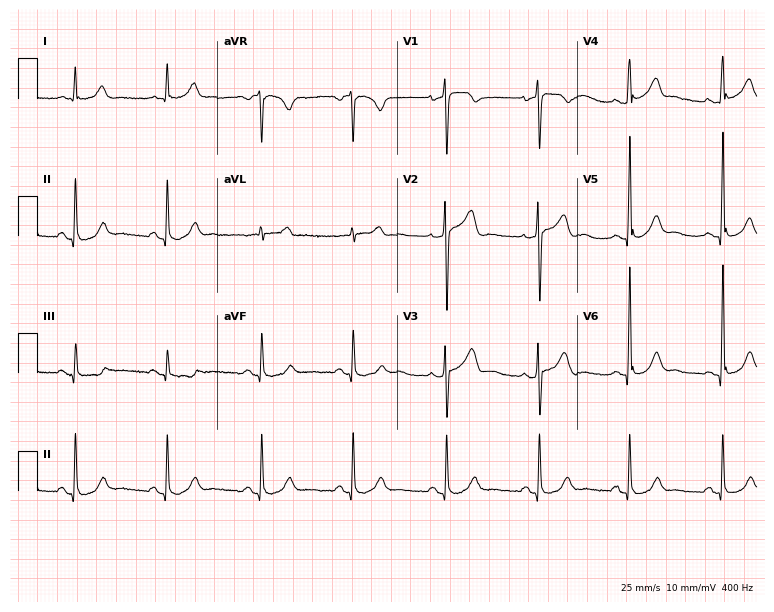
Resting 12-lead electrocardiogram. Patient: a 62-year-old male. None of these six findings is recorded: first-degree AV block, right bundle branch block (RBBB), left bundle branch block (LBBB), sinus bradycardia, atrial fibrillation (AF), sinus tachycardia.